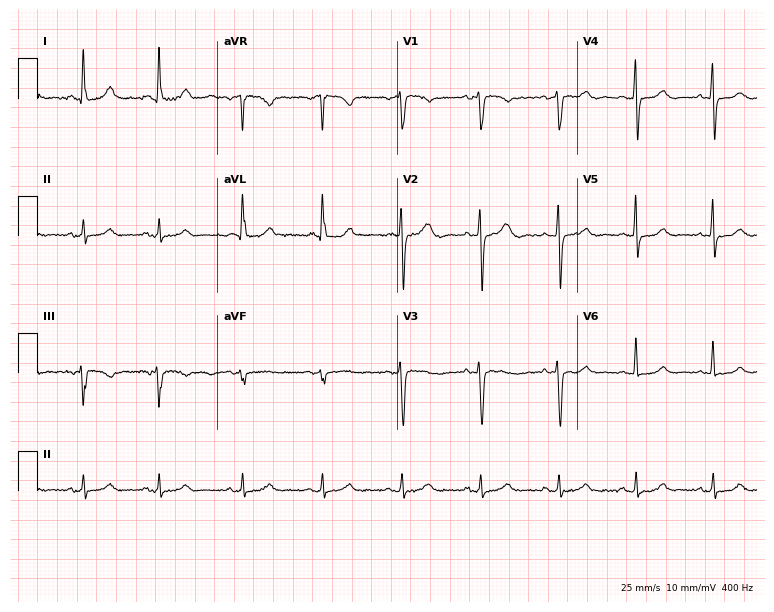
12-lead ECG (7.3-second recording at 400 Hz) from a 62-year-old woman. Screened for six findings — first-degree AV block, right bundle branch block, left bundle branch block, sinus bradycardia, atrial fibrillation, sinus tachycardia — none is recorded. Other findings, if any, are not listed.